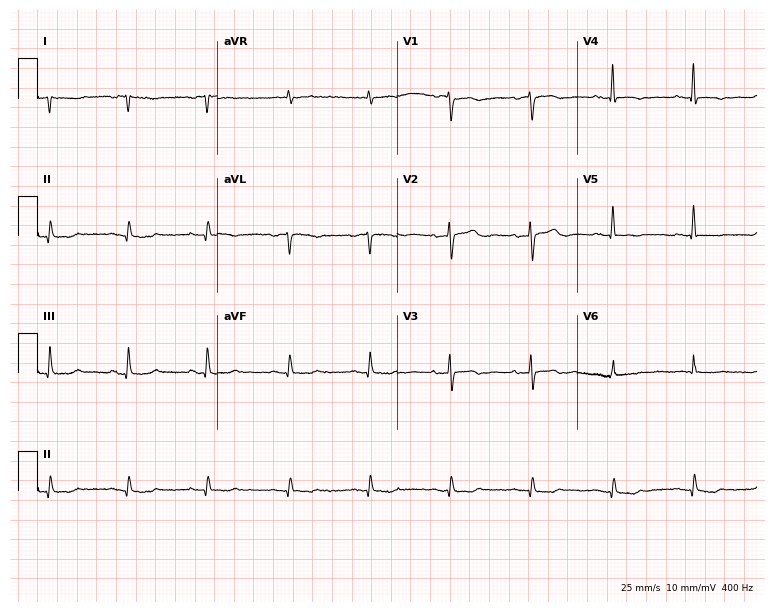
ECG — a 73-year-old female. Screened for six findings — first-degree AV block, right bundle branch block (RBBB), left bundle branch block (LBBB), sinus bradycardia, atrial fibrillation (AF), sinus tachycardia — none is recorded.